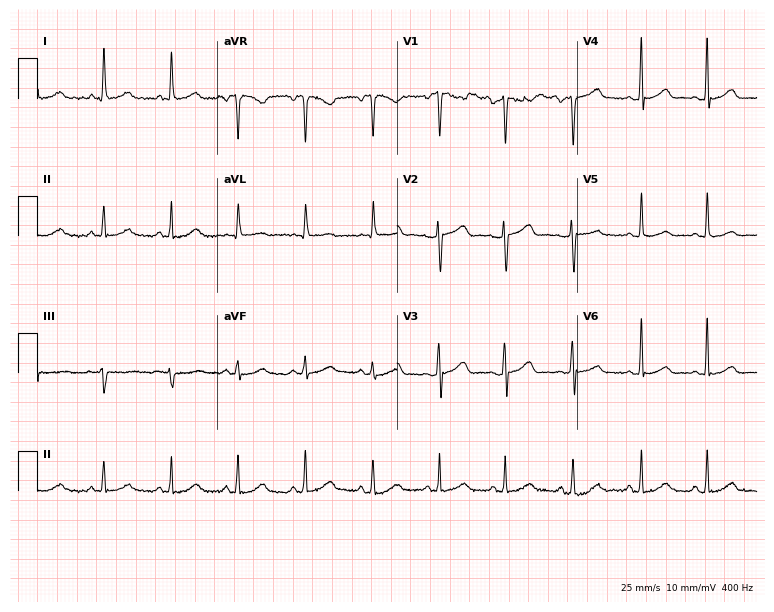
12-lead ECG from a woman, 38 years old. No first-degree AV block, right bundle branch block (RBBB), left bundle branch block (LBBB), sinus bradycardia, atrial fibrillation (AF) or sinus tachycardia recorded for this tracing.